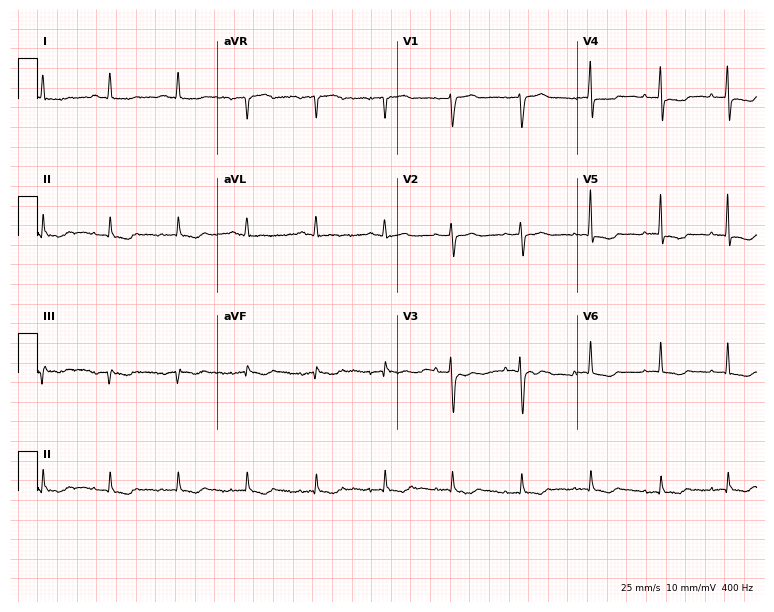
ECG (7.3-second recording at 400 Hz) — a female patient, 82 years old. Screened for six findings — first-degree AV block, right bundle branch block, left bundle branch block, sinus bradycardia, atrial fibrillation, sinus tachycardia — none is recorded.